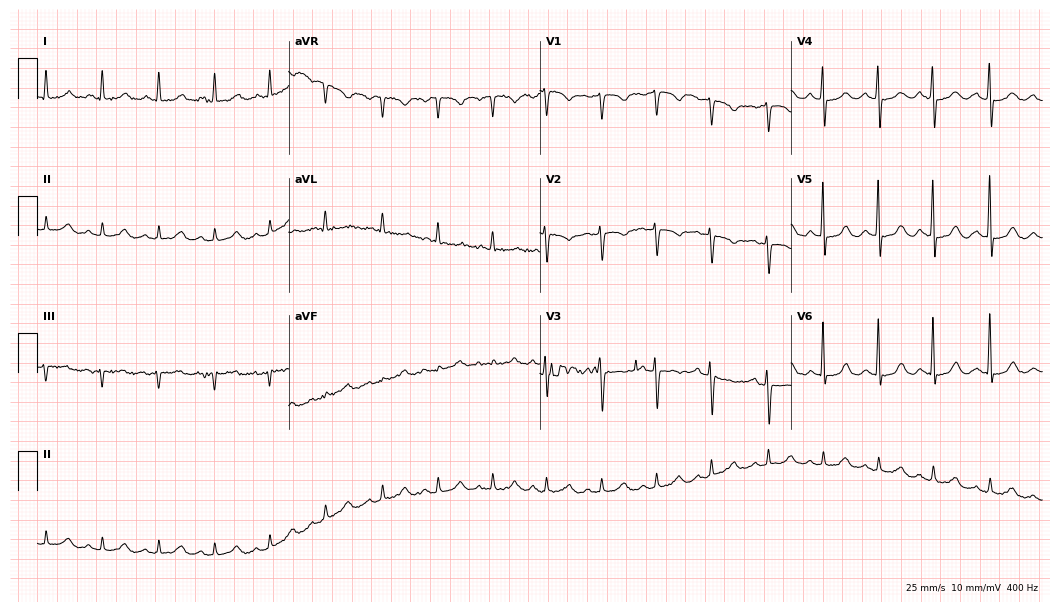
12-lead ECG (10.2-second recording at 400 Hz) from an 80-year-old female patient. Findings include sinus tachycardia (a sinus rate of 100 beats per minute or more).